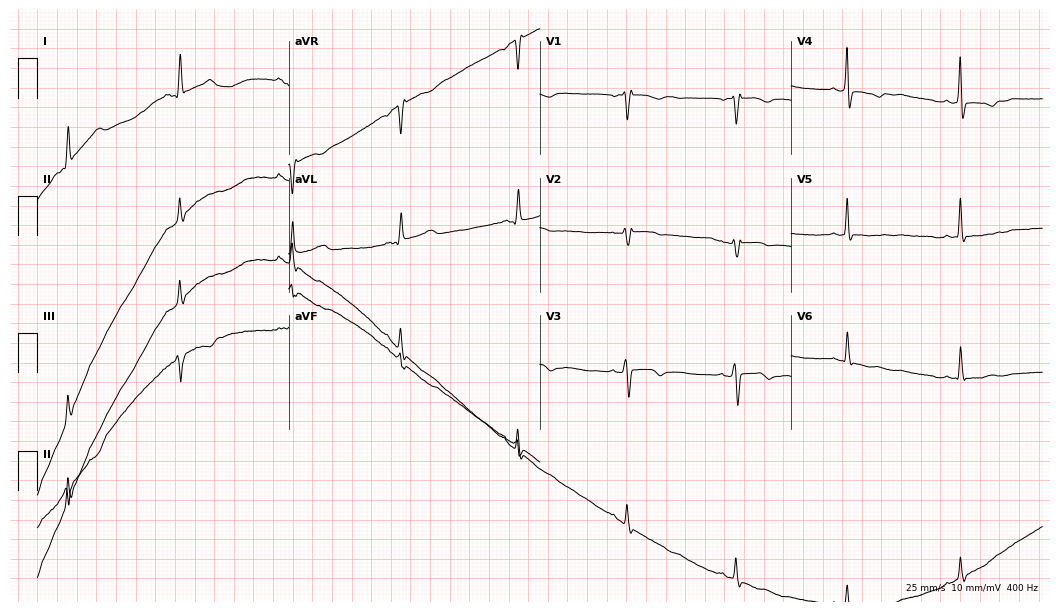
Electrocardiogram (10.2-second recording at 400 Hz), a female patient, 49 years old. Overall reading on record: normal ECG.